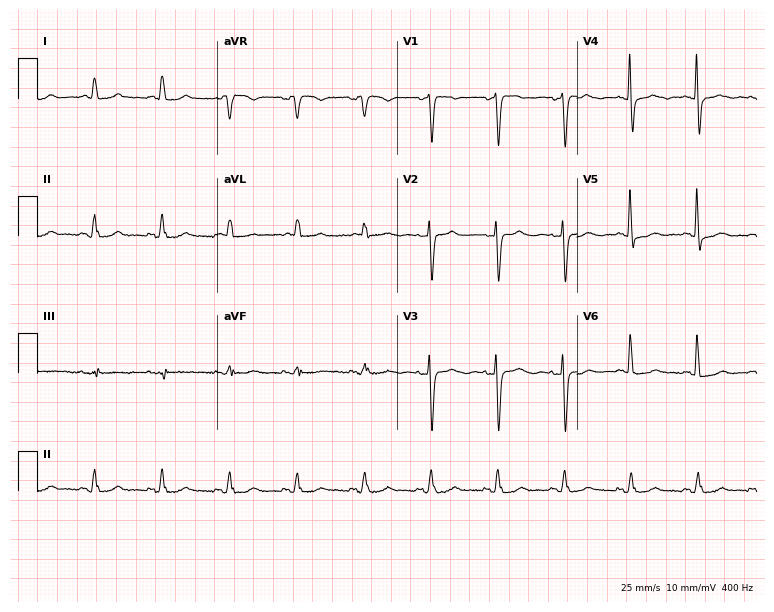
ECG — an 80-year-old female patient. Labelled as a normal ECG.